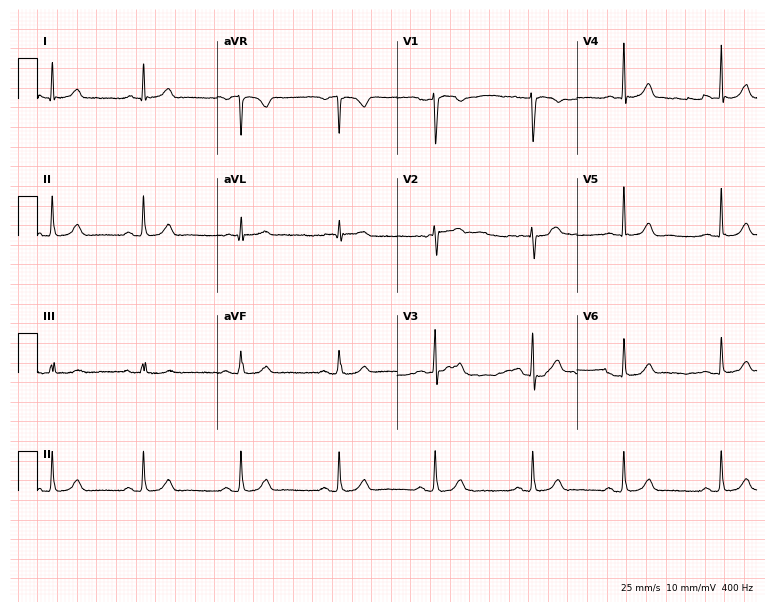
Standard 12-lead ECG recorded from a 30-year-old female (7.3-second recording at 400 Hz). Read as a normal ECG.